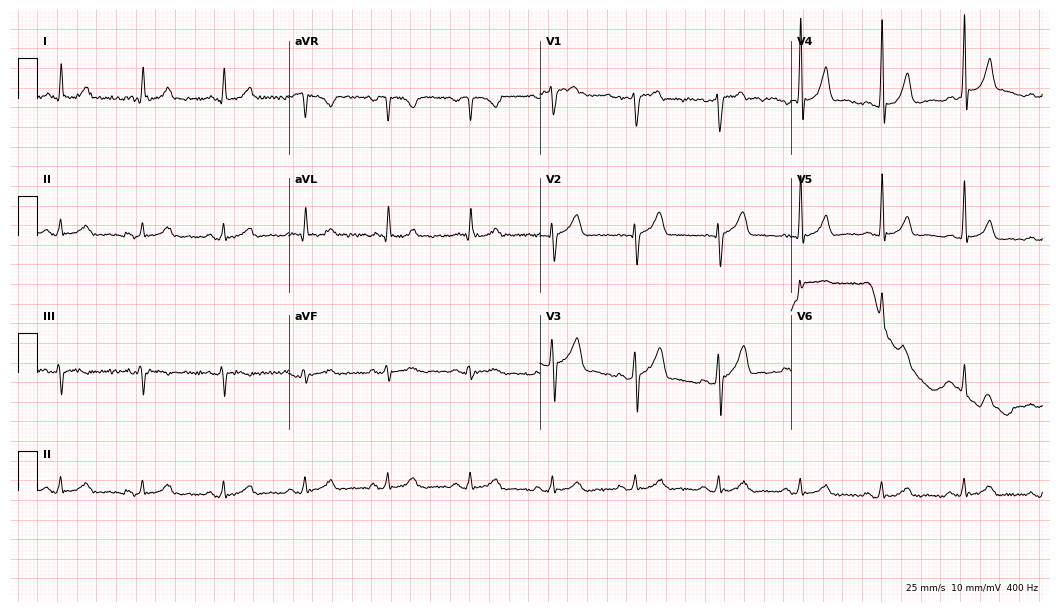
Standard 12-lead ECG recorded from a 58-year-old man. Read as a normal ECG.